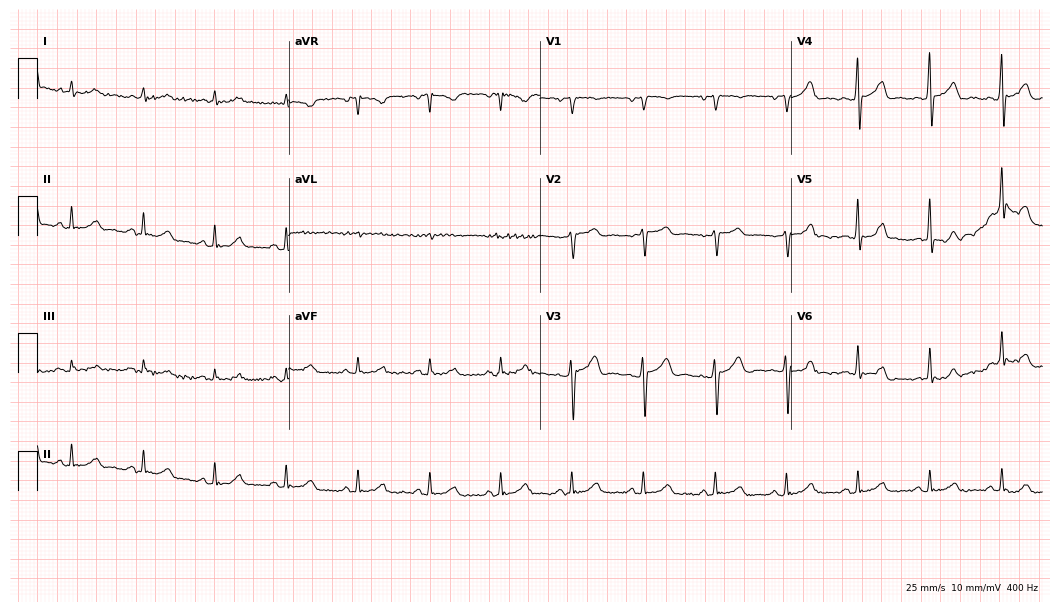
12-lead ECG from a 69-year-old man (10.2-second recording at 400 Hz). Recorded interpretation: within normal limits.